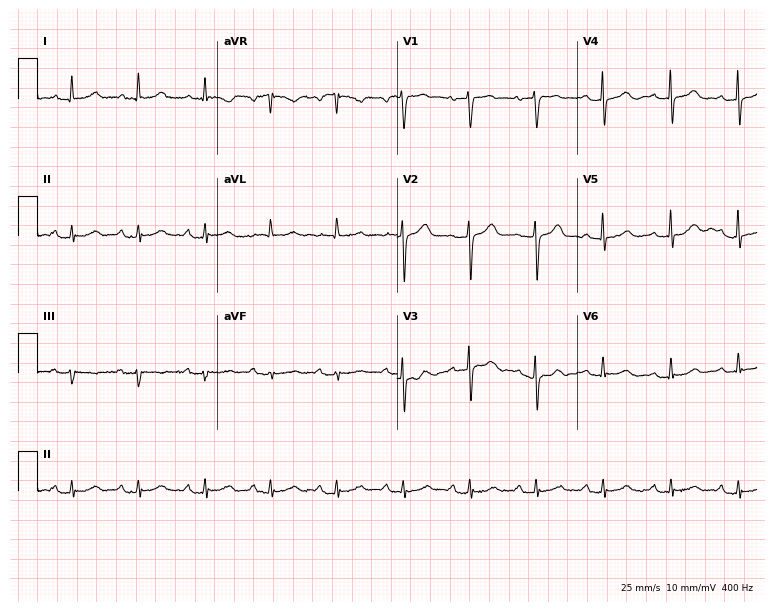
12-lead ECG from a 72-year-old woman. Recorded interpretation: within normal limits.